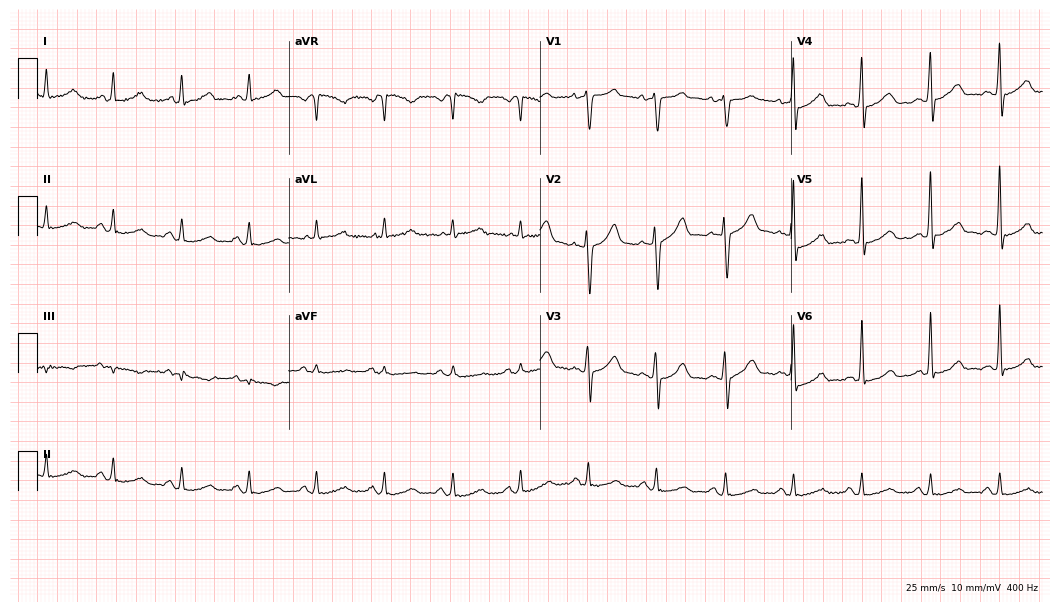
Standard 12-lead ECG recorded from a male patient, 50 years old. Read as a normal ECG.